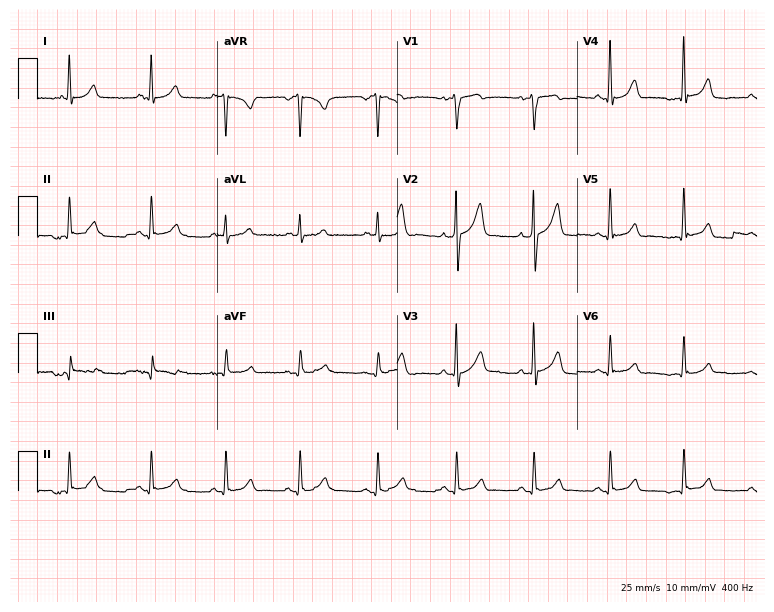
Resting 12-lead electrocardiogram (7.3-second recording at 400 Hz). Patient: a 49-year-old man. Read as a normal ECG.